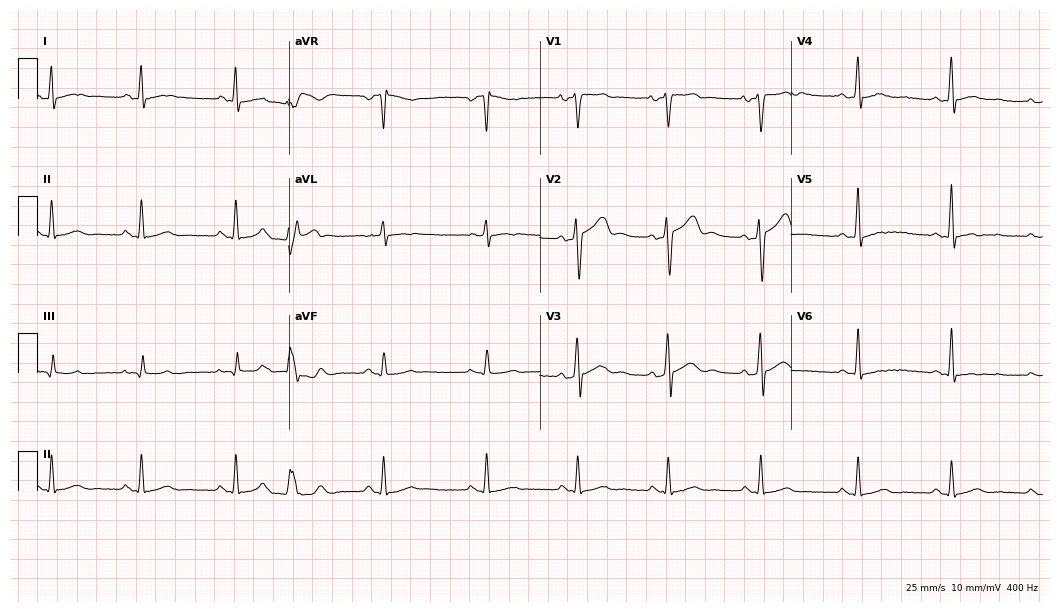
ECG — a male patient, 38 years old. Screened for six findings — first-degree AV block, right bundle branch block, left bundle branch block, sinus bradycardia, atrial fibrillation, sinus tachycardia — none is recorded.